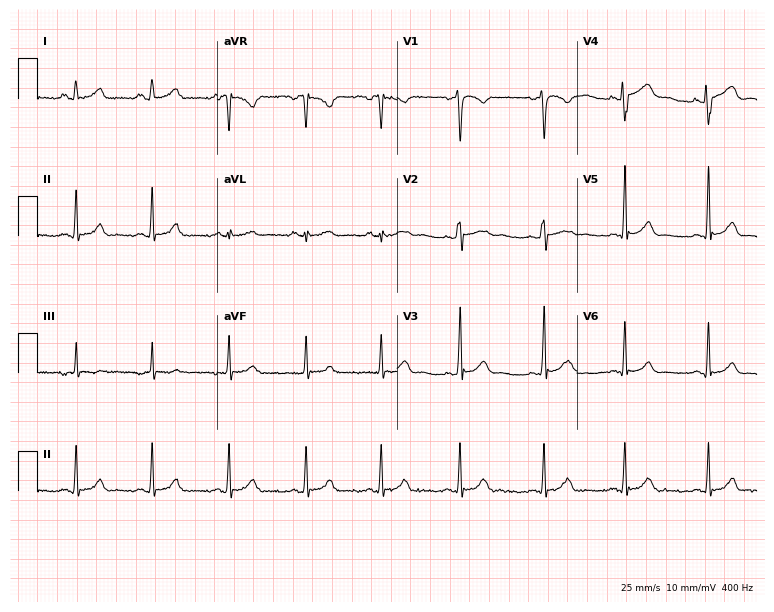
ECG — a female patient, 22 years old. Labelled as a normal ECG.